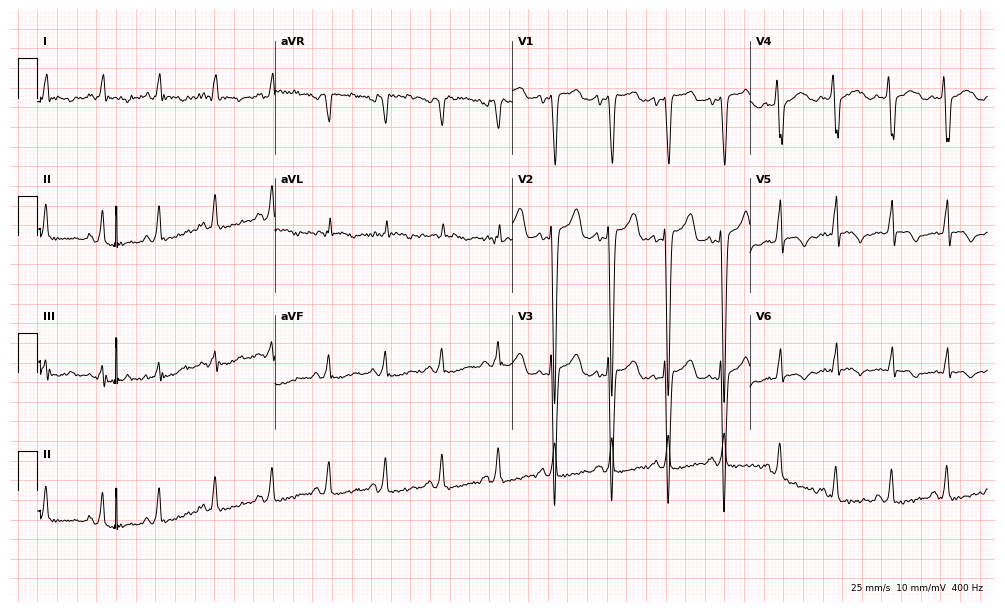
12-lead ECG (9.7-second recording at 400 Hz) from a 40-year-old male patient. Screened for six findings — first-degree AV block, right bundle branch block (RBBB), left bundle branch block (LBBB), sinus bradycardia, atrial fibrillation (AF), sinus tachycardia — none is recorded. Only these six findings were labelled.